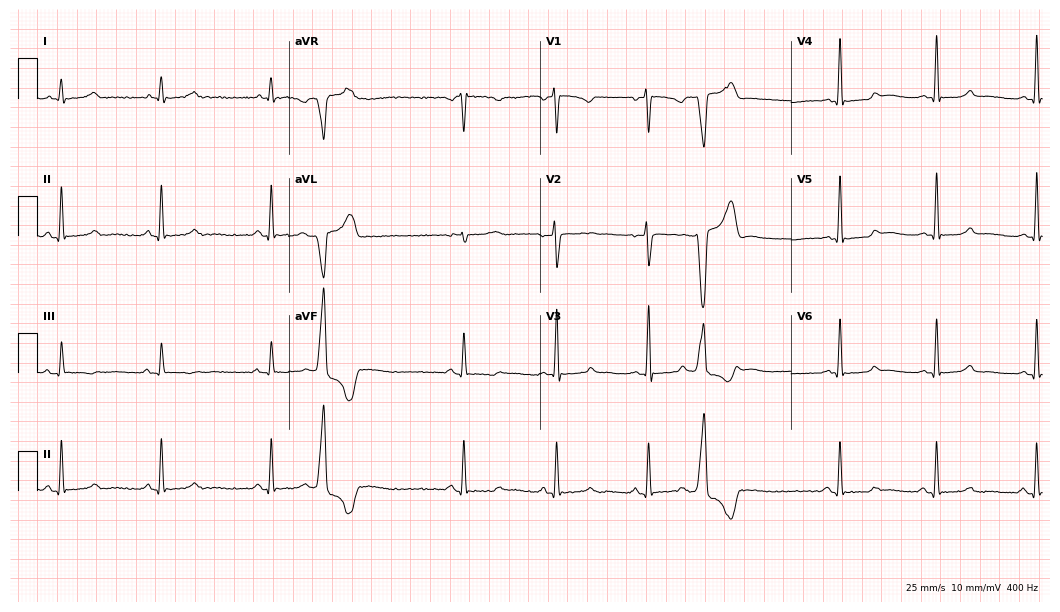
12-lead ECG from a 37-year-old woman (10.2-second recording at 400 Hz). Recorded interpretation: within normal limits.